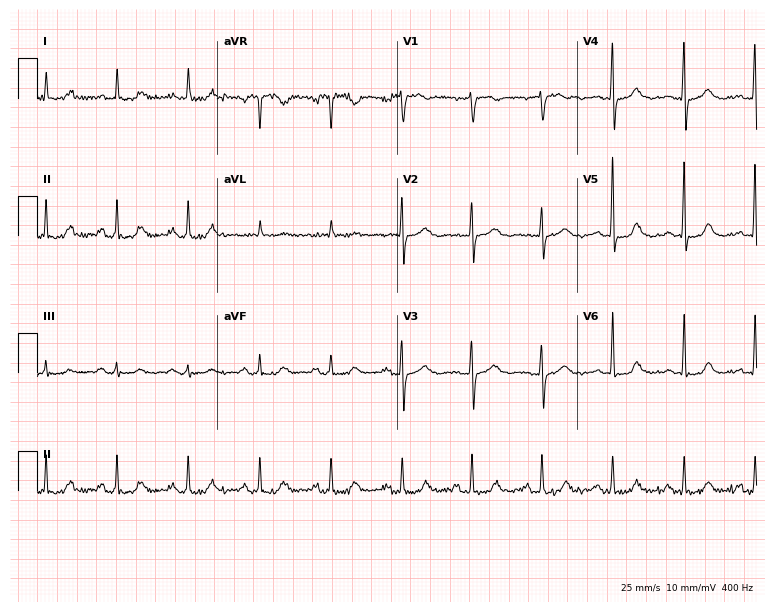
Resting 12-lead electrocardiogram (7.3-second recording at 400 Hz). Patient: a female, 67 years old. Read as a normal ECG.